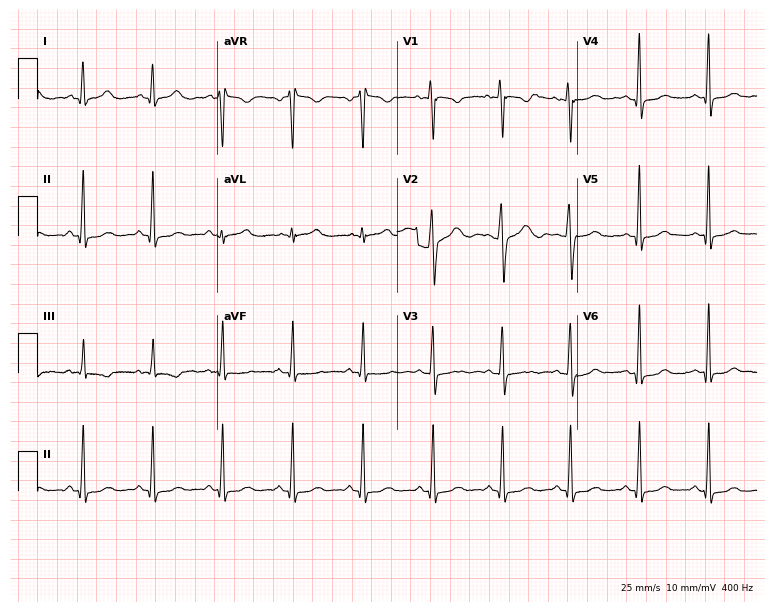
12-lead ECG from a female, 34 years old (7.3-second recording at 400 Hz). Recorded interpretation: within normal limits.